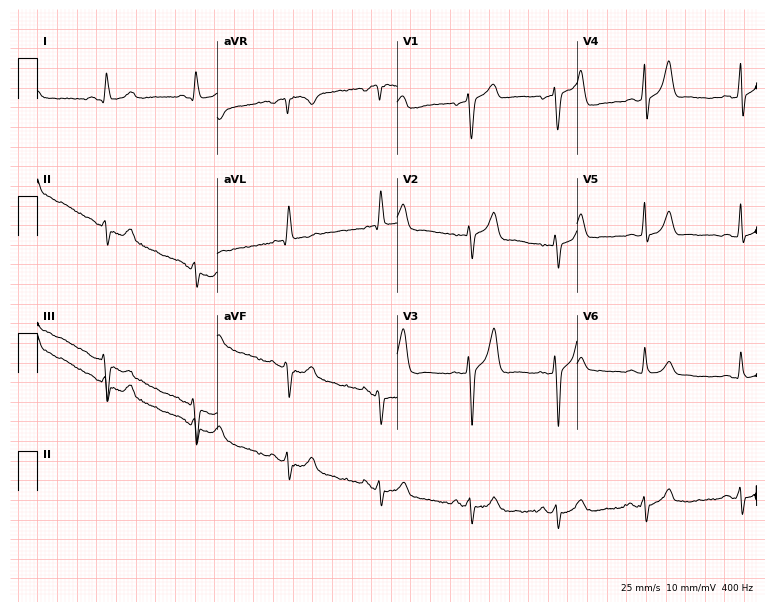
12-lead ECG from a man, 62 years old. No first-degree AV block, right bundle branch block, left bundle branch block, sinus bradycardia, atrial fibrillation or sinus tachycardia recorded for this tracing. Findings outside these six are not listed.